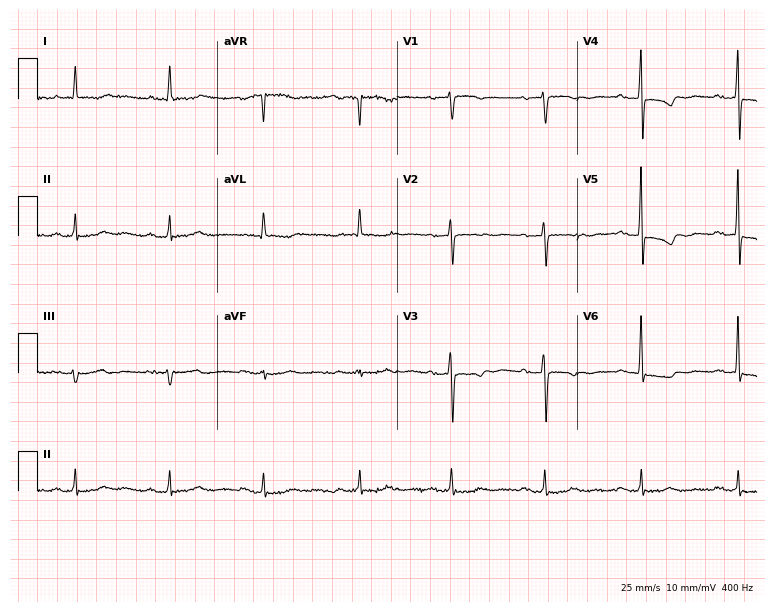
Electrocardiogram, a female, 75 years old. Of the six screened findings (first-degree AV block, right bundle branch block, left bundle branch block, sinus bradycardia, atrial fibrillation, sinus tachycardia), none is recorded.